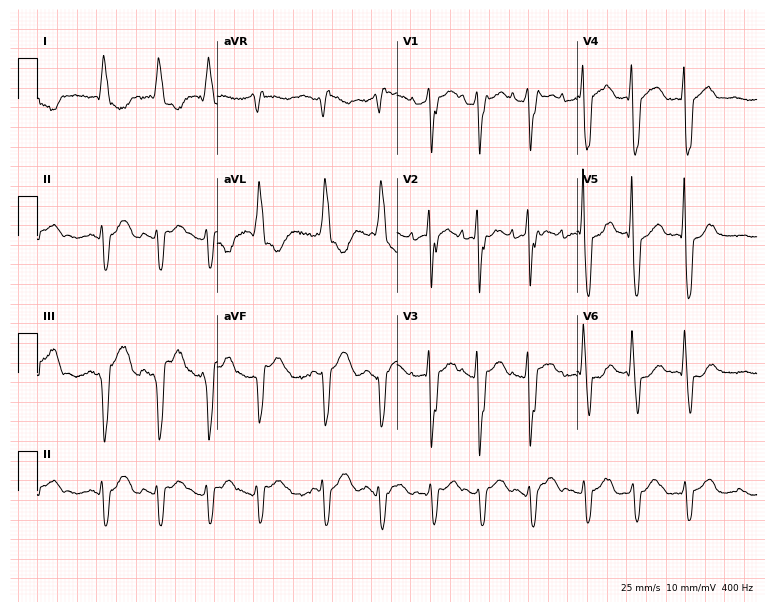
12-lead ECG (7.3-second recording at 400 Hz) from a male patient, 76 years old. Screened for six findings — first-degree AV block, right bundle branch block, left bundle branch block, sinus bradycardia, atrial fibrillation, sinus tachycardia — none is recorded.